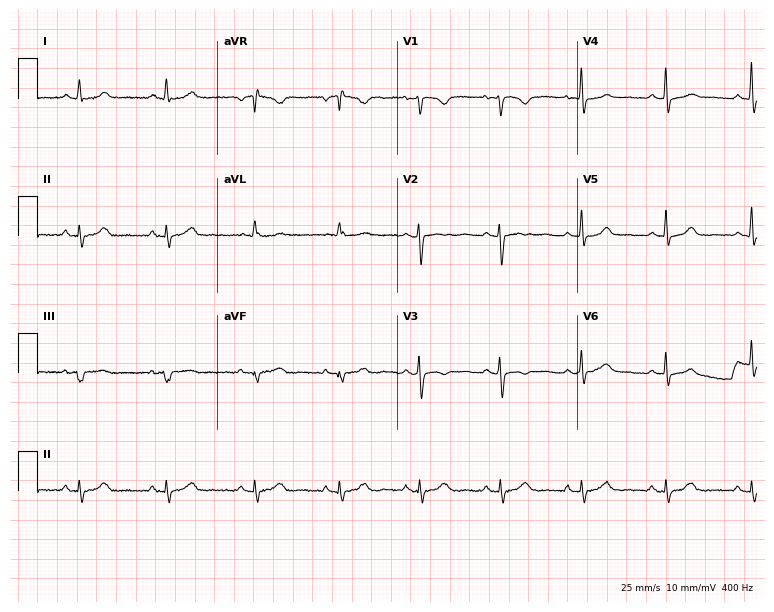
12-lead ECG from a 37-year-old woman. Screened for six findings — first-degree AV block, right bundle branch block, left bundle branch block, sinus bradycardia, atrial fibrillation, sinus tachycardia — none is recorded.